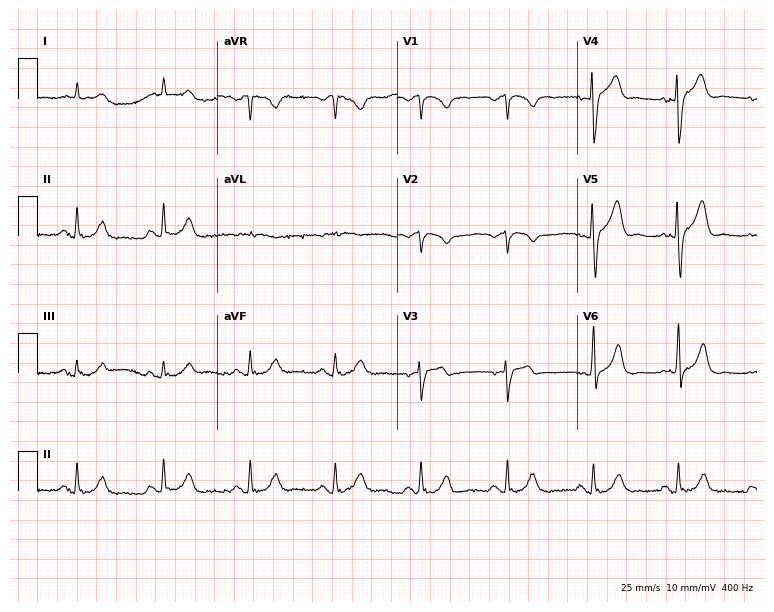
12-lead ECG (7.3-second recording at 400 Hz) from a man, 74 years old. Screened for six findings — first-degree AV block, right bundle branch block, left bundle branch block, sinus bradycardia, atrial fibrillation, sinus tachycardia — none is recorded.